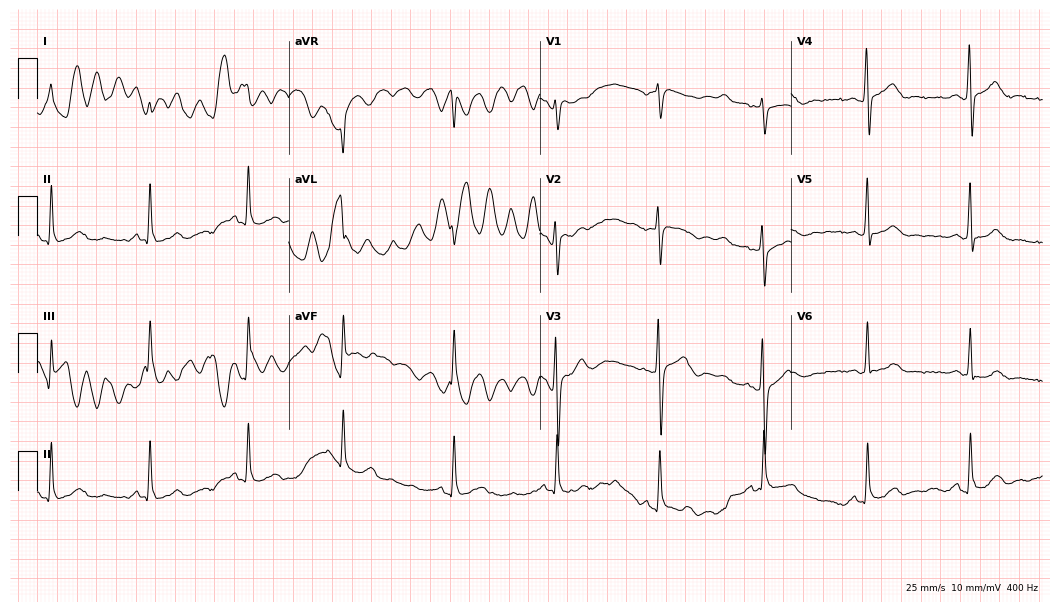
12-lead ECG (10.2-second recording at 400 Hz) from a man, 76 years old. Screened for six findings — first-degree AV block, right bundle branch block, left bundle branch block, sinus bradycardia, atrial fibrillation, sinus tachycardia — none is recorded. Only these six findings were labelled.